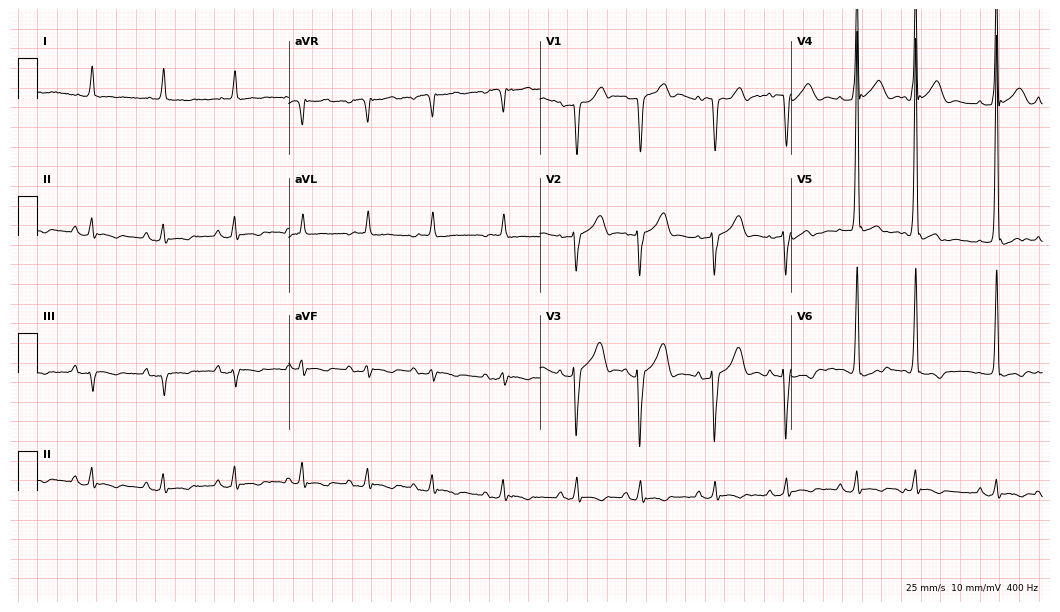
Resting 12-lead electrocardiogram. Patient: a man, 52 years old. None of these six findings is recorded: first-degree AV block, right bundle branch block, left bundle branch block, sinus bradycardia, atrial fibrillation, sinus tachycardia. Only these six findings were labelled.